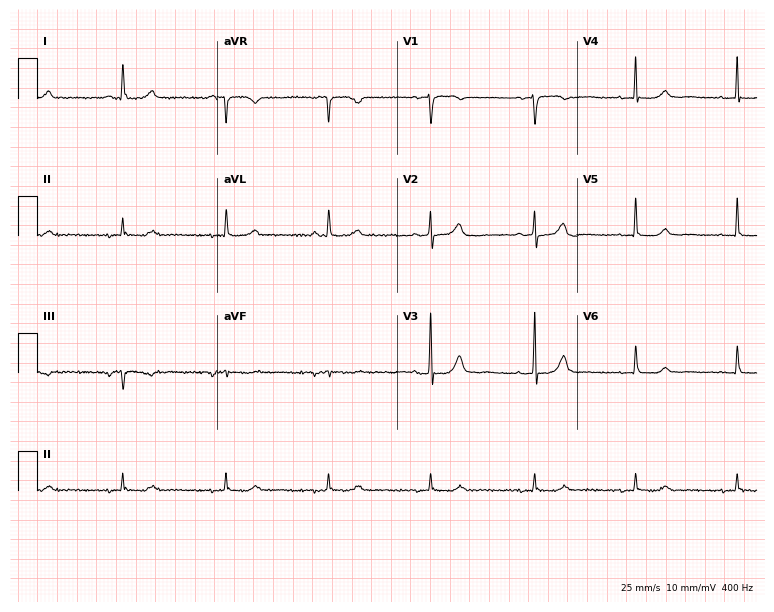
Electrocardiogram, a woman, 68 years old. Overall reading on record: normal ECG.